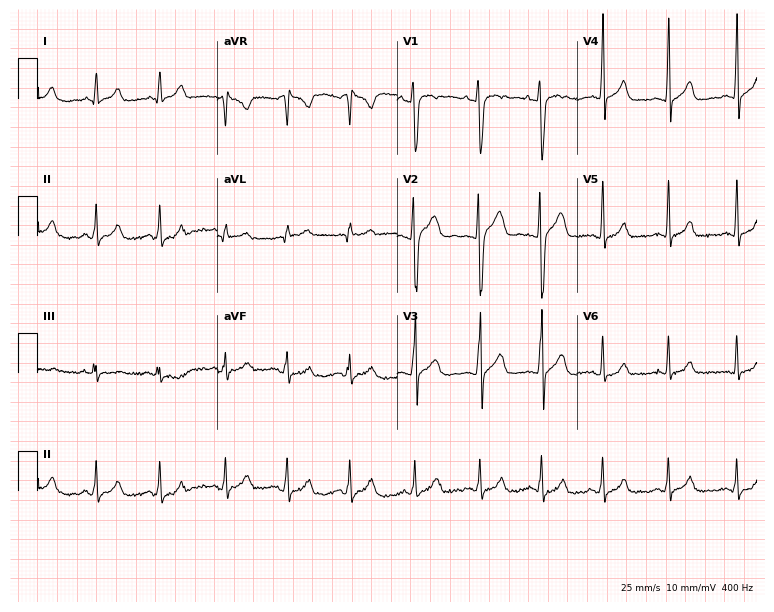
Resting 12-lead electrocardiogram. Patient: a male, 21 years old. Read as a normal ECG.